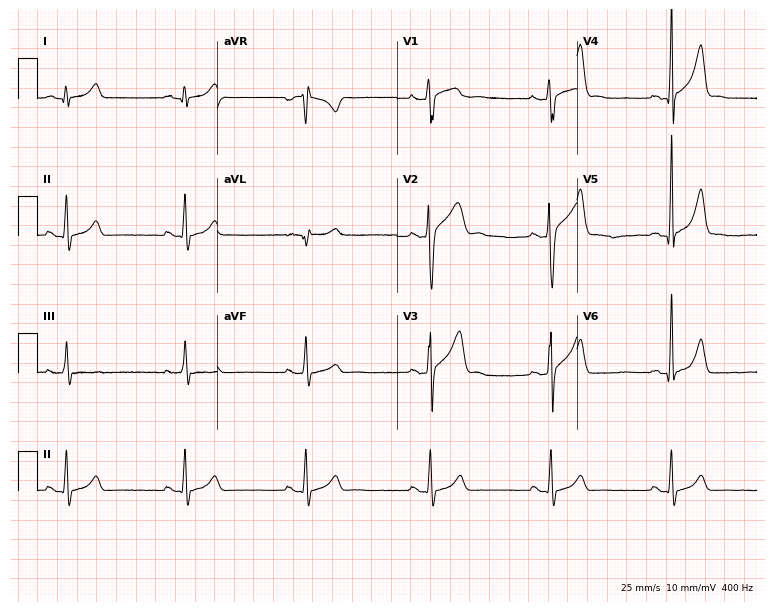
Electrocardiogram, a male patient, 26 years old. Interpretation includes sinus bradycardia (a sinus rate of 50 beats per minute or less).